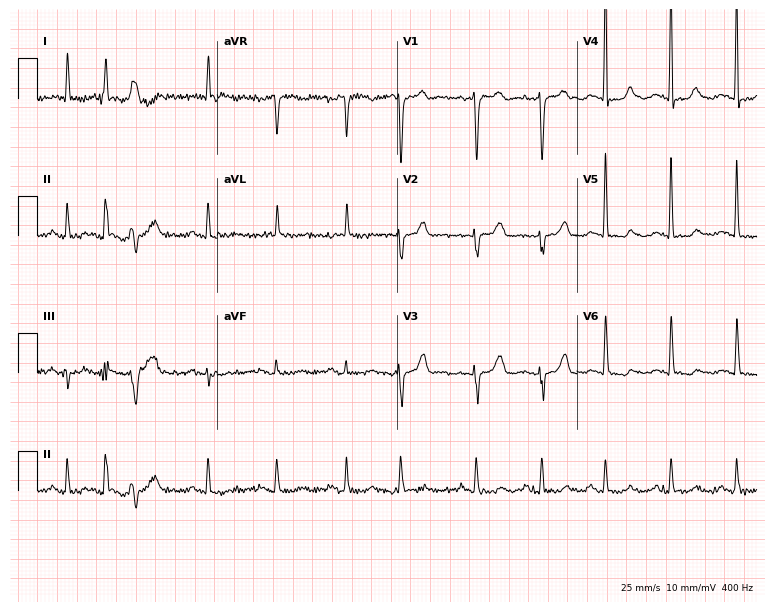
ECG — a woman, 77 years old. Screened for six findings — first-degree AV block, right bundle branch block (RBBB), left bundle branch block (LBBB), sinus bradycardia, atrial fibrillation (AF), sinus tachycardia — none is recorded.